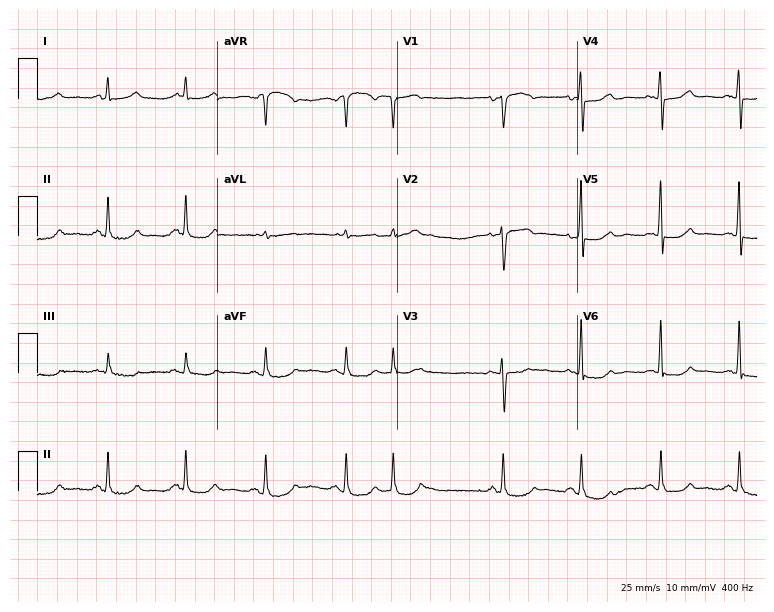
12-lead ECG from a female, 63 years old. Screened for six findings — first-degree AV block, right bundle branch block, left bundle branch block, sinus bradycardia, atrial fibrillation, sinus tachycardia — none is recorded.